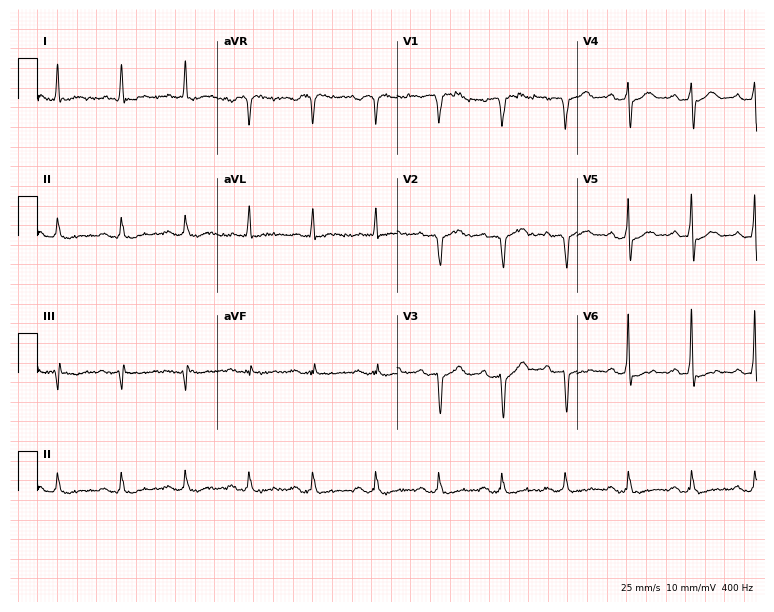
ECG — a 73-year-old male. Screened for six findings — first-degree AV block, right bundle branch block, left bundle branch block, sinus bradycardia, atrial fibrillation, sinus tachycardia — none is recorded.